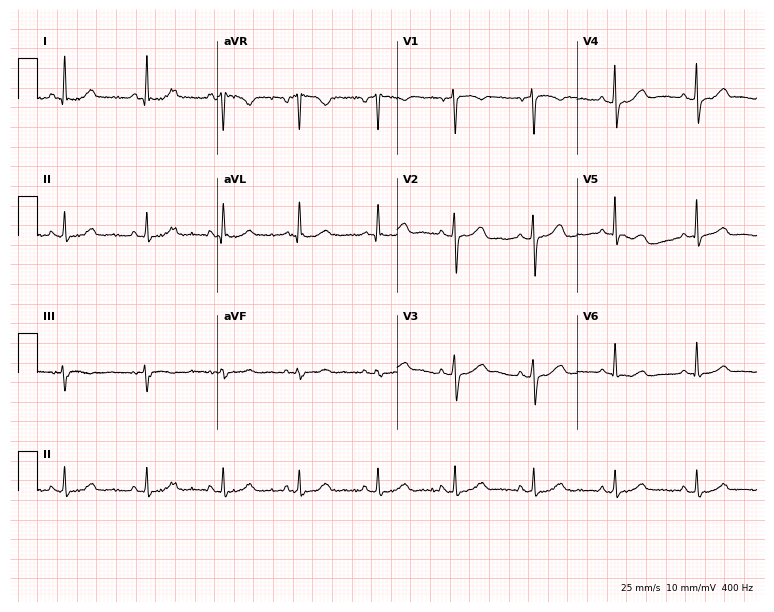
ECG (7.3-second recording at 400 Hz) — a female, 53 years old. Labelled as a normal ECG.